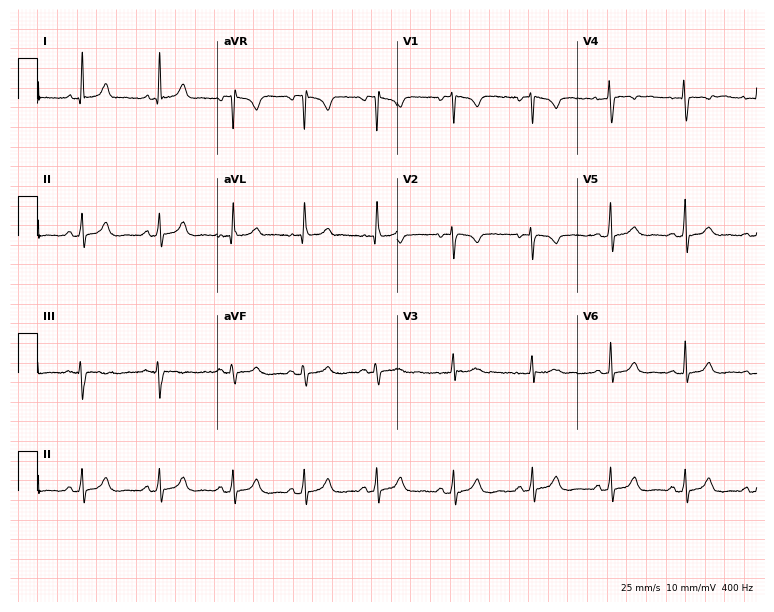
12-lead ECG (7.3-second recording at 400 Hz) from a 24-year-old woman. Labelled as a normal ECG.